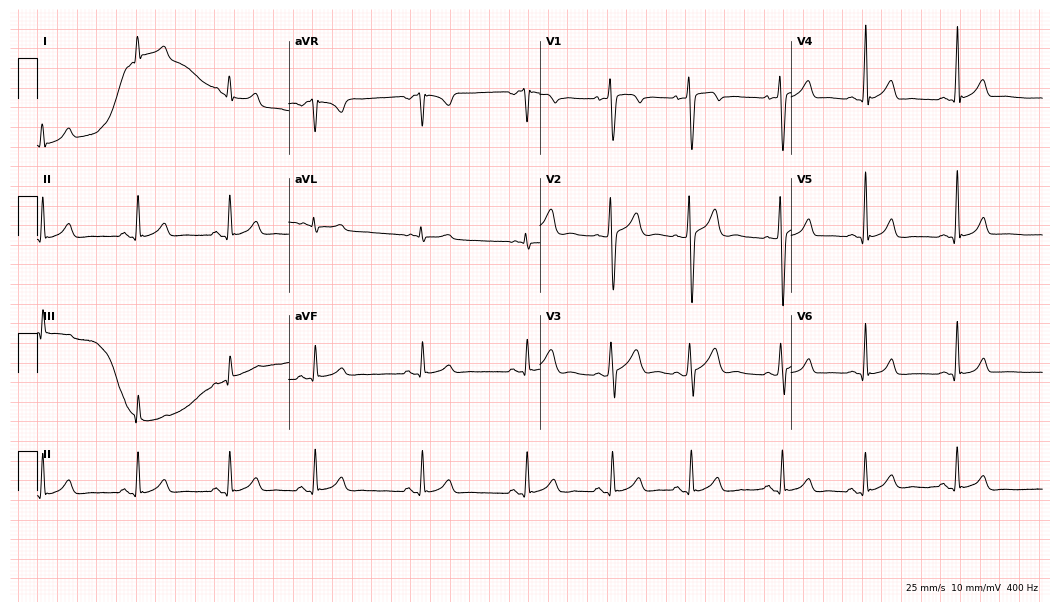
ECG — a 24-year-old male. Labelled as a normal ECG.